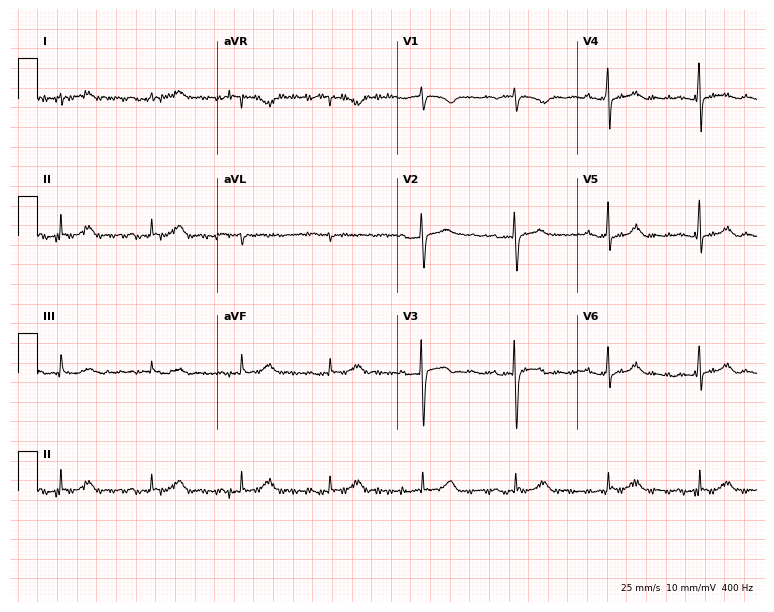
ECG — a female patient, 80 years old. Screened for six findings — first-degree AV block, right bundle branch block, left bundle branch block, sinus bradycardia, atrial fibrillation, sinus tachycardia — none is recorded. Only these six findings were labelled.